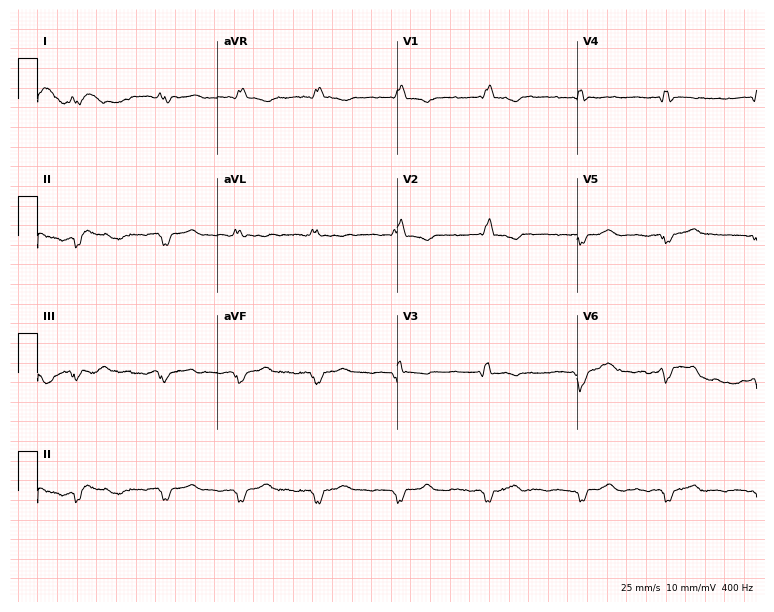
12-lead ECG (7.3-second recording at 400 Hz) from a woman, 53 years old. Screened for six findings — first-degree AV block, right bundle branch block, left bundle branch block, sinus bradycardia, atrial fibrillation, sinus tachycardia — none is recorded.